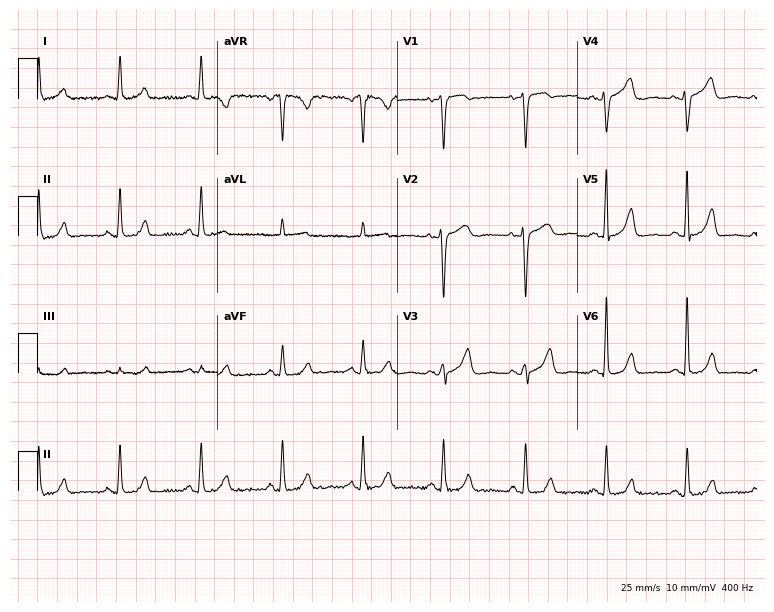
ECG (7.3-second recording at 400 Hz) — a 67-year-old female patient. Labelled as a normal ECG.